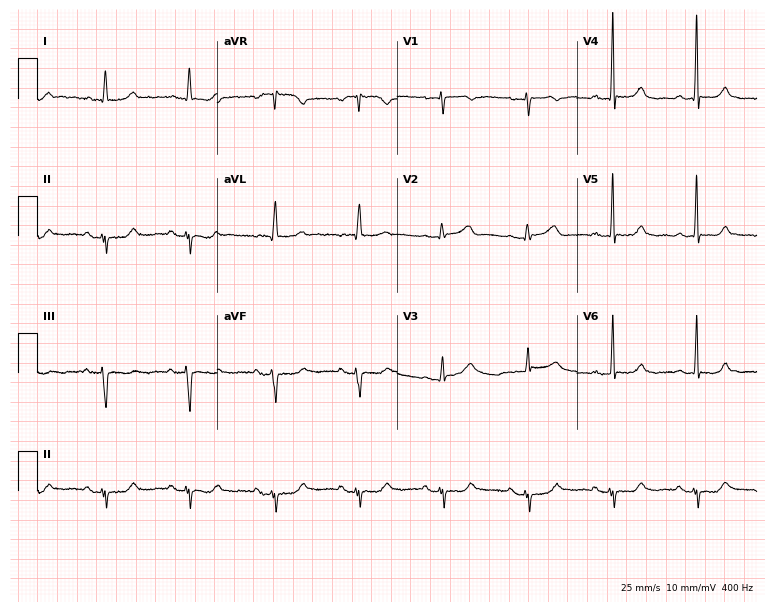
12-lead ECG from a 58-year-old female patient. No first-degree AV block, right bundle branch block (RBBB), left bundle branch block (LBBB), sinus bradycardia, atrial fibrillation (AF) or sinus tachycardia recorded for this tracing. Findings outside these six are not listed.